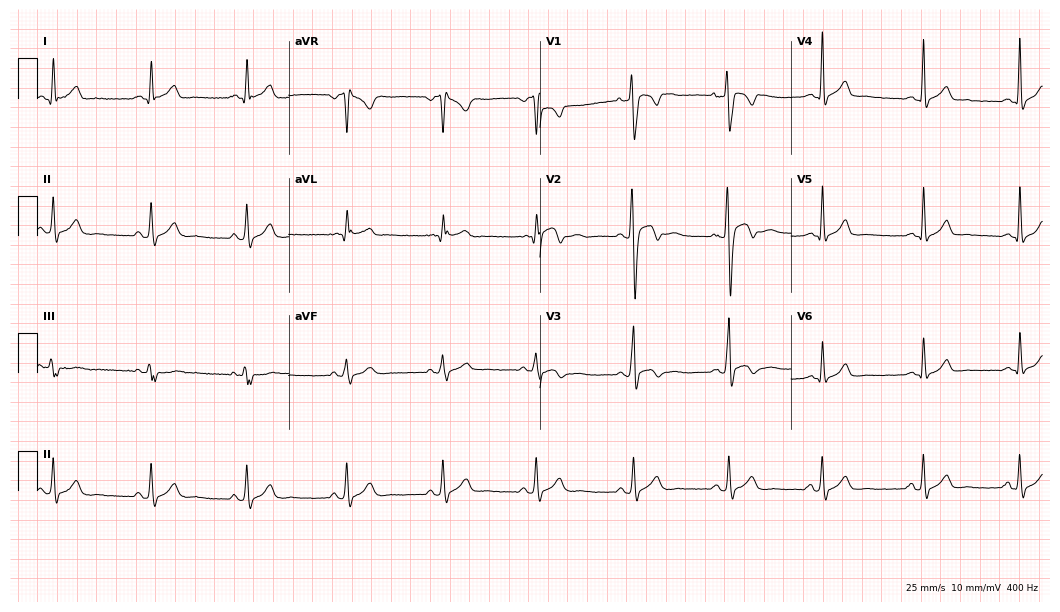
12-lead ECG from a 21-year-old man (10.2-second recording at 400 Hz). No first-degree AV block, right bundle branch block, left bundle branch block, sinus bradycardia, atrial fibrillation or sinus tachycardia recorded for this tracing.